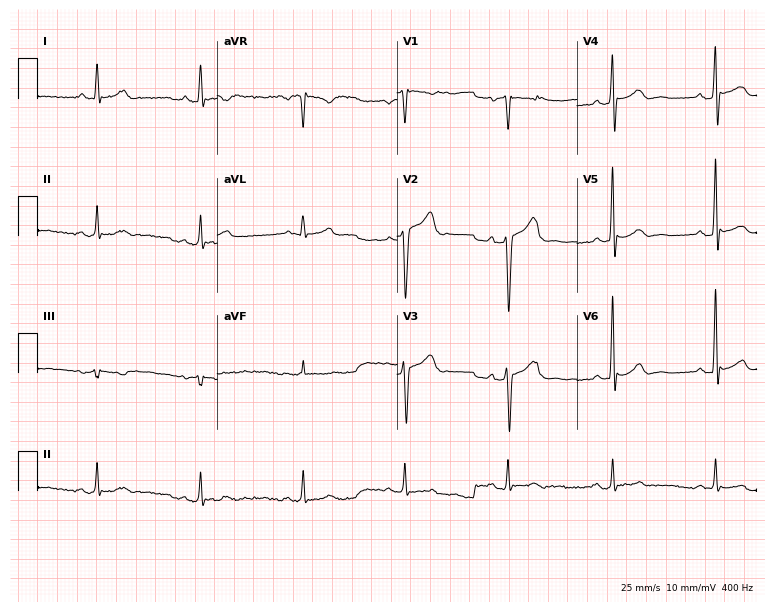
Standard 12-lead ECG recorded from a man, 58 years old (7.3-second recording at 400 Hz). None of these six findings is recorded: first-degree AV block, right bundle branch block, left bundle branch block, sinus bradycardia, atrial fibrillation, sinus tachycardia.